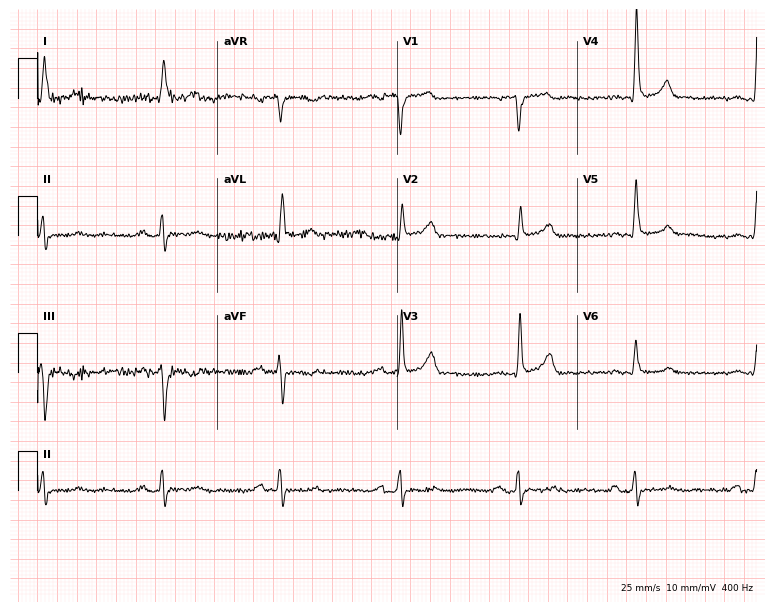
ECG (7.3-second recording at 400 Hz) — a 59-year-old male patient. Screened for six findings — first-degree AV block, right bundle branch block, left bundle branch block, sinus bradycardia, atrial fibrillation, sinus tachycardia — none is recorded. Only these six findings were labelled.